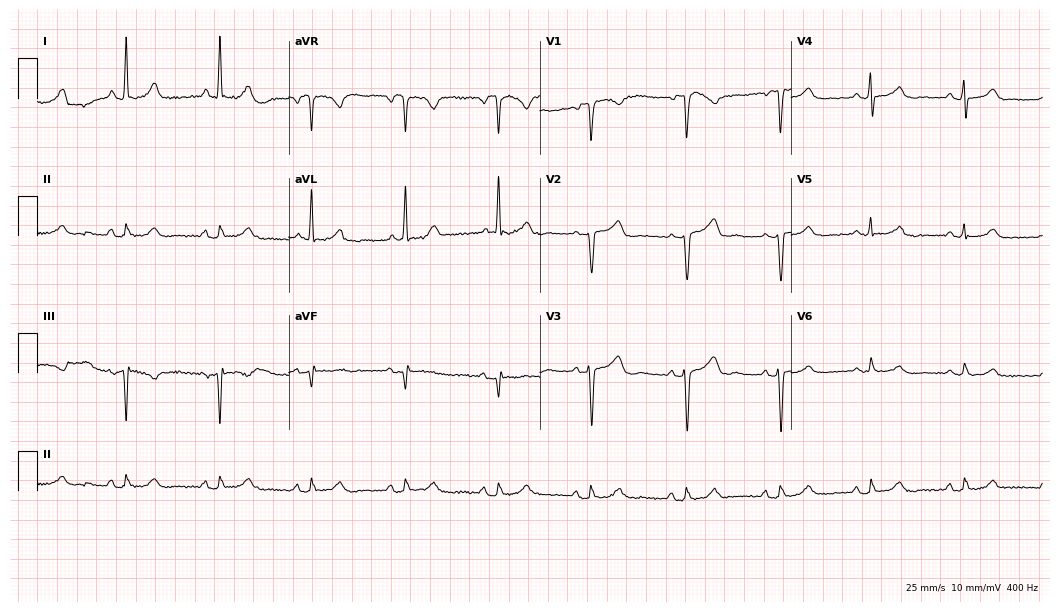
12-lead ECG from a woman, 77 years old. Labelled as a normal ECG.